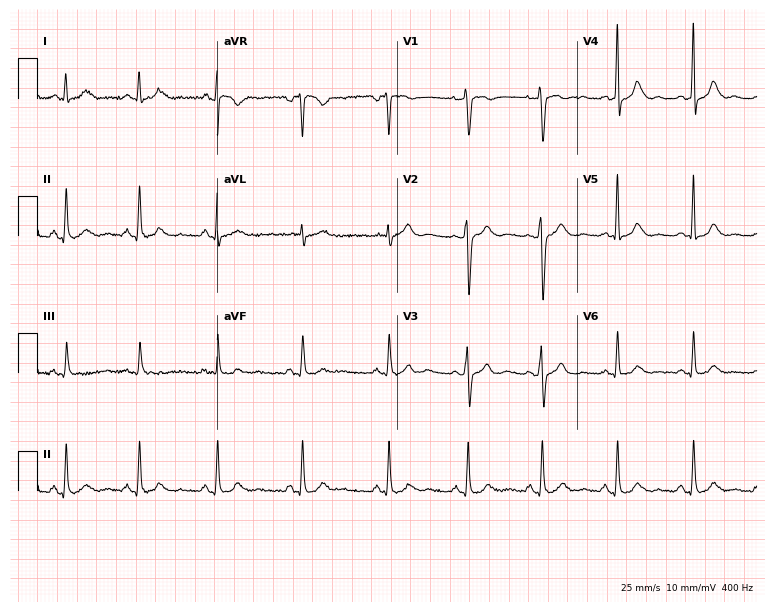
12-lead ECG from a 46-year-old female. Screened for six findings — first-degree AV block, right bundle branch block (RBBB), left bundle branch block (LBBB), sinus bradycardia, atrial fibrillation (AF), sinus tachycardia — none is recorded.